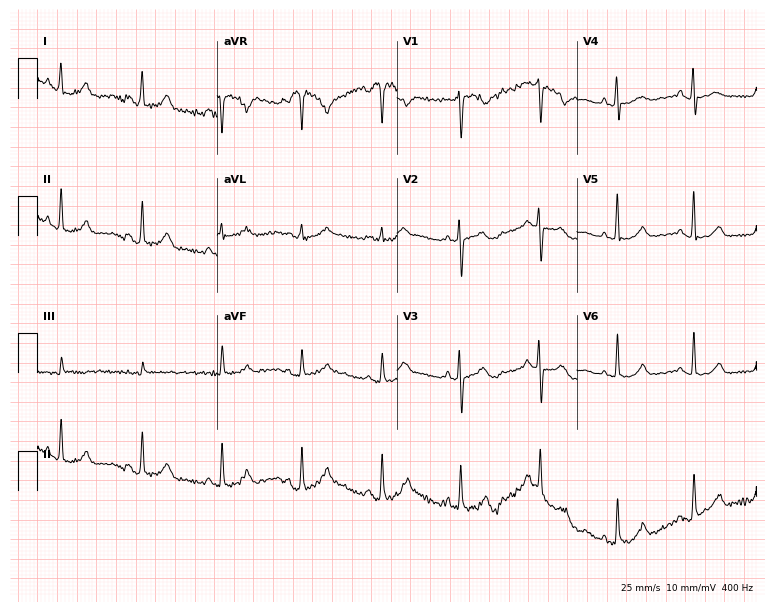
12-lead ECG from a woman, 40 years old. No first-degree AV block, right bundle branch block (RBBB), left bundle branch block (LBBB), sinus bradycardia, atrial fibrillation (AF) or sinus tachycardia recorded for this tracing. Findings outside these six are not listed.